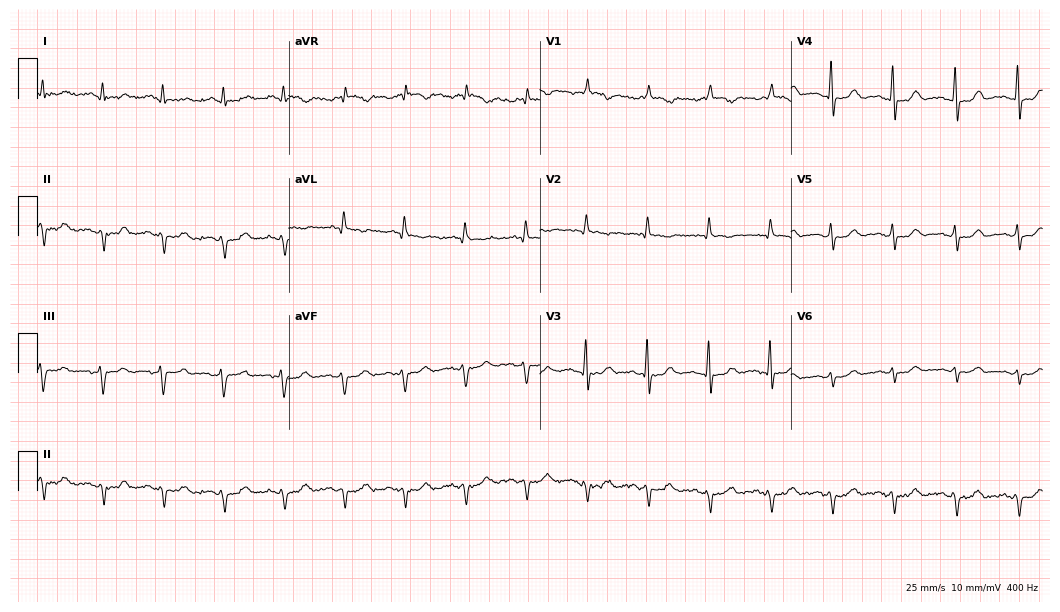
ECG — a female, 63 years old. Screened for six findings — first-degree AV block, right bundle branch block, left bundle branch block, sinus bradycardia, atrial fibrillation, sinus tachycardia — none is recorded. Other findings, if any, are not listed.